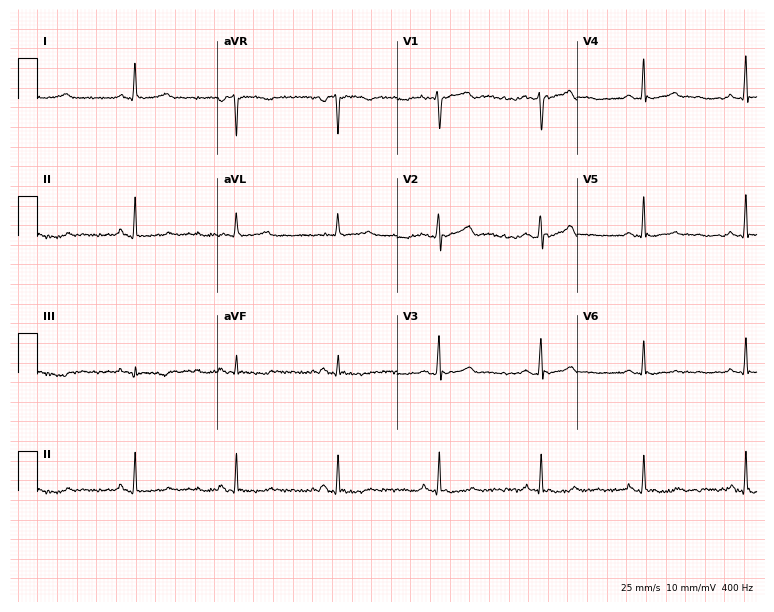
ECG (7.3-second recording at 400 Hz) — a 60-year-old man. Labelled as a normal ECG.